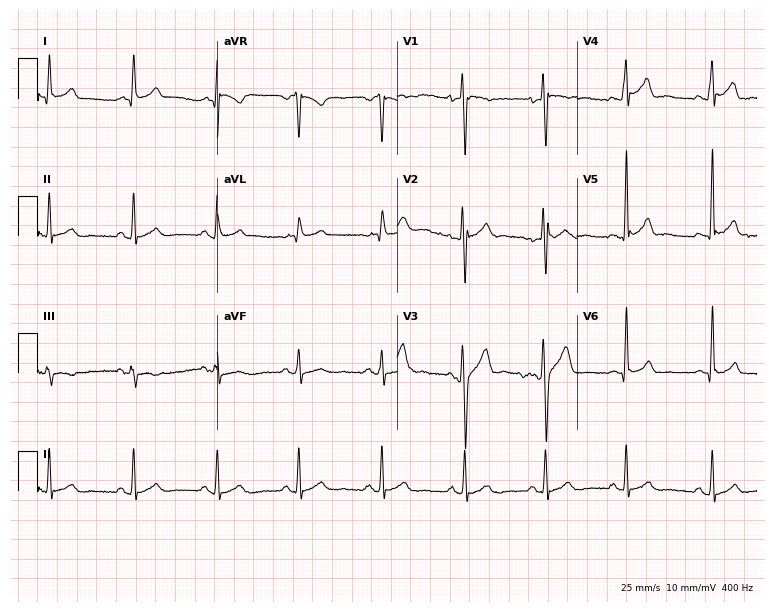
12-lead ECG (7.3-second recording at 400 Hz) from a man, 24 years old. Labelled as a normal ECG.